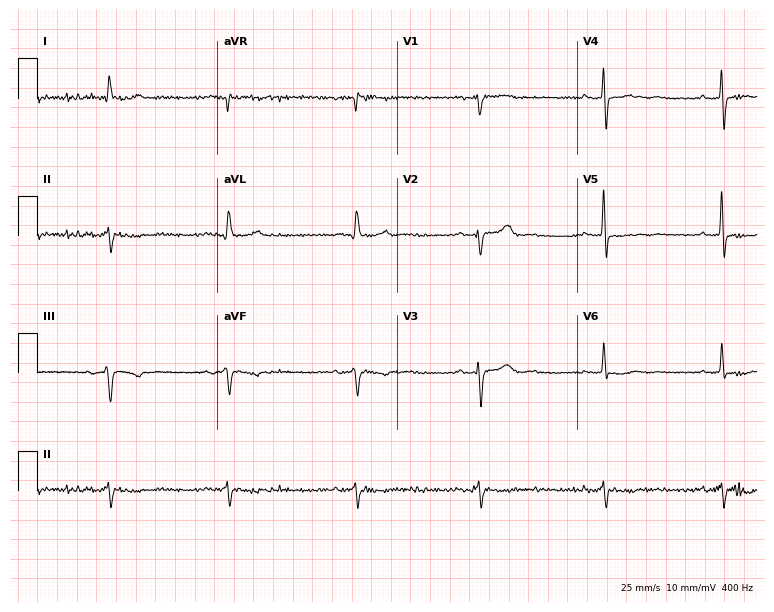
12-lead ECG from a man, 86 years old (7.3-second recording at 400 Hz). No first-degree AV block, right bundle branch block, left bundle branch block, sinus bradycardia, atrial fibrillation or sinus tachycardia recorded for this tracing. Other findings, if any, are not listed.